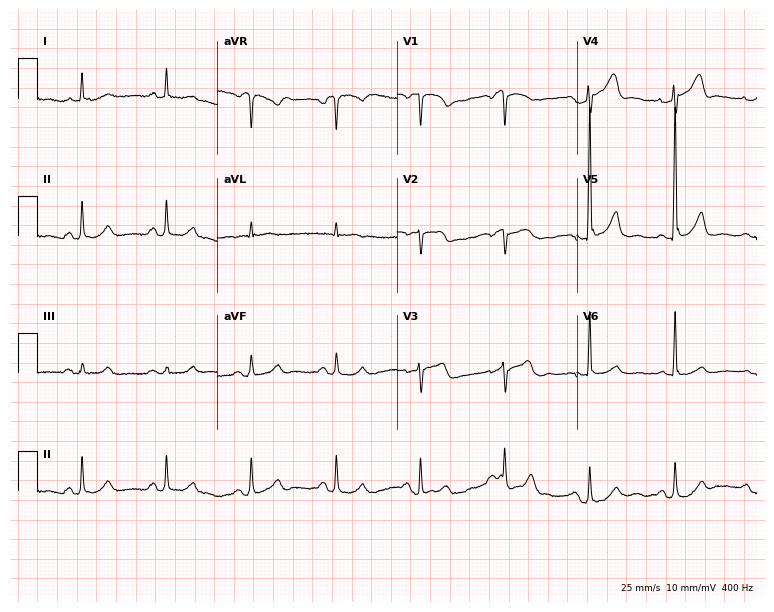
ECG — a male patient, 82 years old. Screened for six findings — first-degree AV block, right bundle branch block, left bundle branch block, sinus bradycardia, atrial fibrillation, sinus tachycardia — none is recorded.